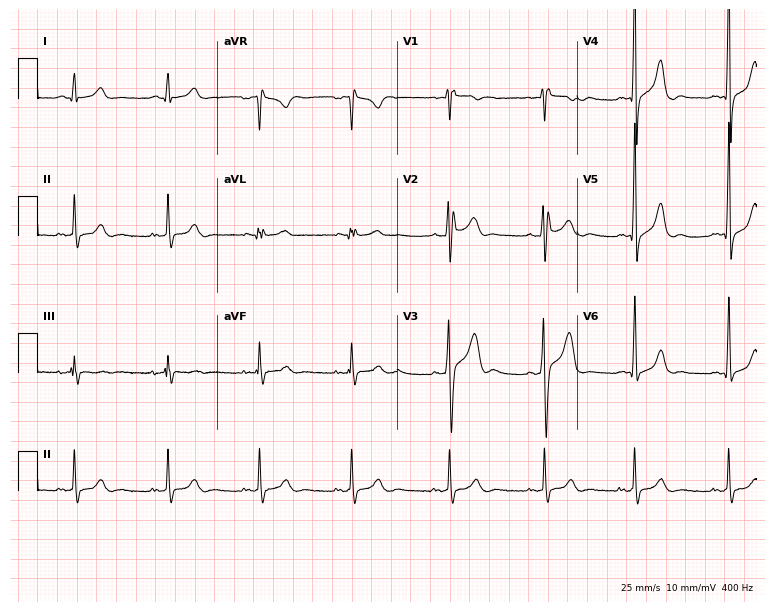
12-lead ECG (7.3-second recording at 400 Hz) from a male, 28 years old. Screened for six findings — first-degree AV block, right bundle branch block (RBBB), left bundle branch block (LBBB), sinus bradycardia, atrial fibrillation (AF), sinus tachycardia — none is recorded.